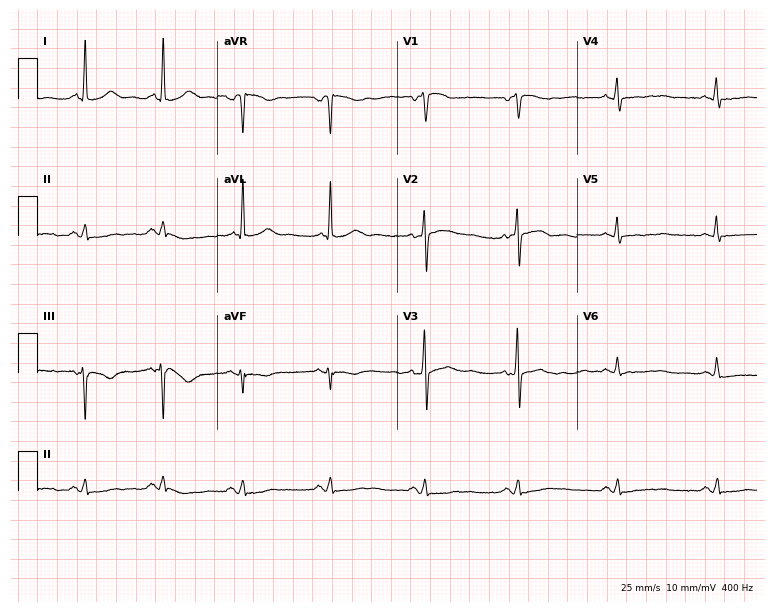
ECG — a female, 59 years old. Screened for six findings — first-degree AV block, right bundle branch block, left bundle branch block, sinus bradycardia, atrial fibrillation, sinus tachycardia — none is recorded. Other findings, if any, are not listed.